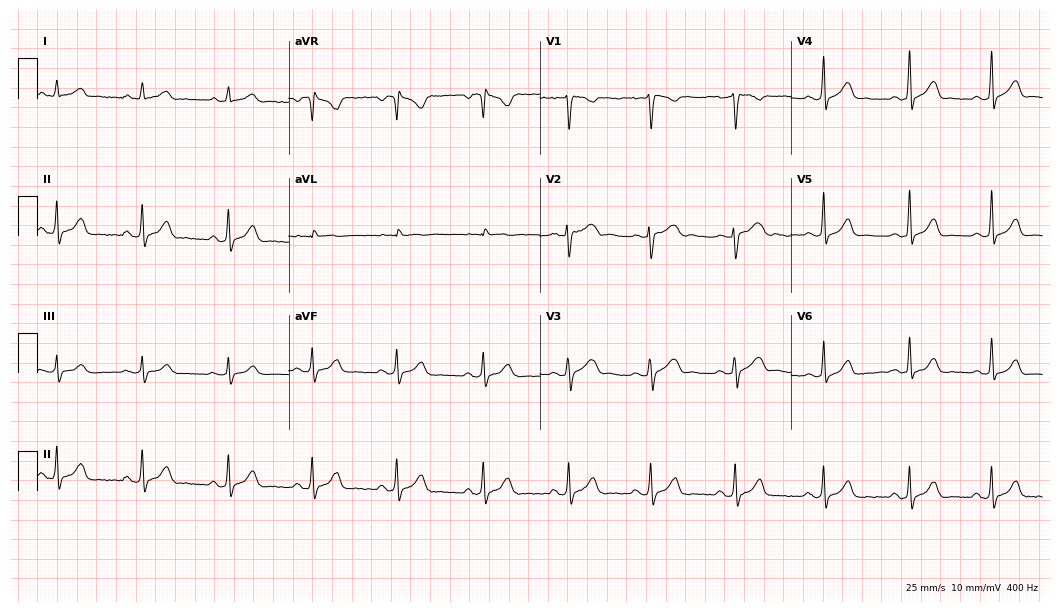
Standard 12-lead ECG recorded from a 21-year-old female (10.2-second recording at 400 Hz). Read as a normal ECG.